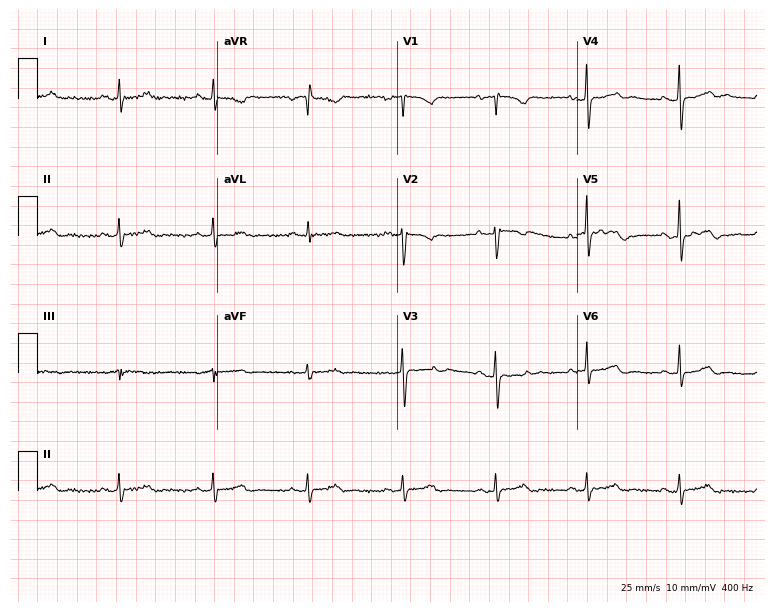
12-lead ECG from a 54-year-old female patient. Screened for six findings — first-degree AV block, right bundle branch block, left bundle branch block, sinus bradycardia, atrial fibrillation, sinus tachycardia — none is recorded.